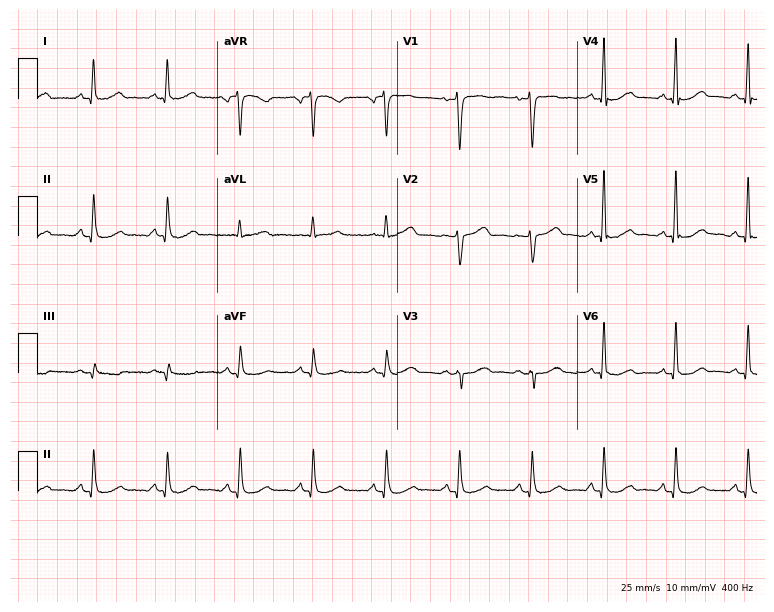
Electrocardiogram, a female, 51 years old. Overall reading on record: normal ECG.